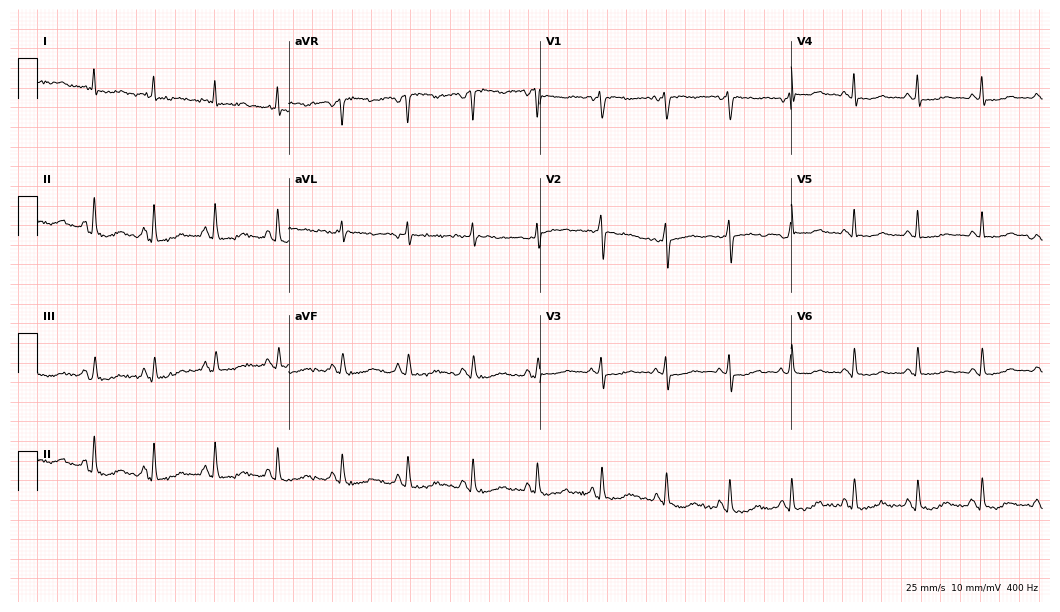
Standard 12-lead ECG recorded from a 59-year-old female (10.2-second recording at 400 Hz). Read as a normal ECG.